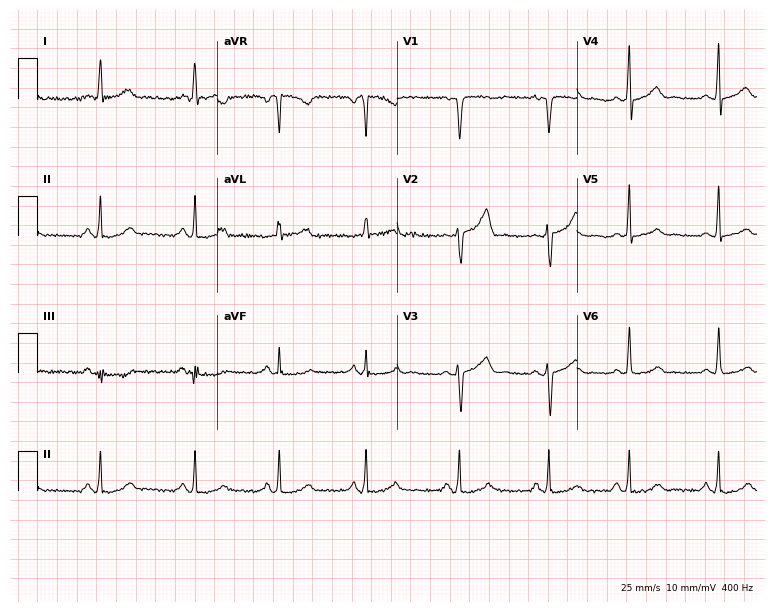
12-lead ECG from a female, 48 years old (7.3-second recording at 400 Hz). No first-degree AV block, right bundle branch block, left bundle branch block, sinus bradycardia, atrial fibrillation or sinus tachycardia recorded for this tracing.